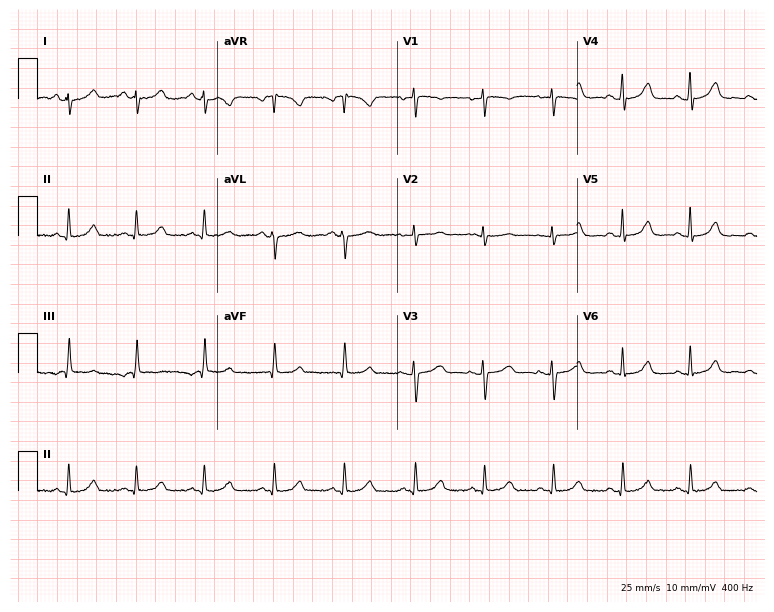
Electrocardiogram (7.3-second recording at 400 Hz), a 62-year-old female patient. Of the six screened findings (first-degree AV block, right bundle branch block (RBBB), left bundle branch block (LBBB), sinus bradycardia, atrial fibrillation (AF), sinus tachycardia), none is recorded.